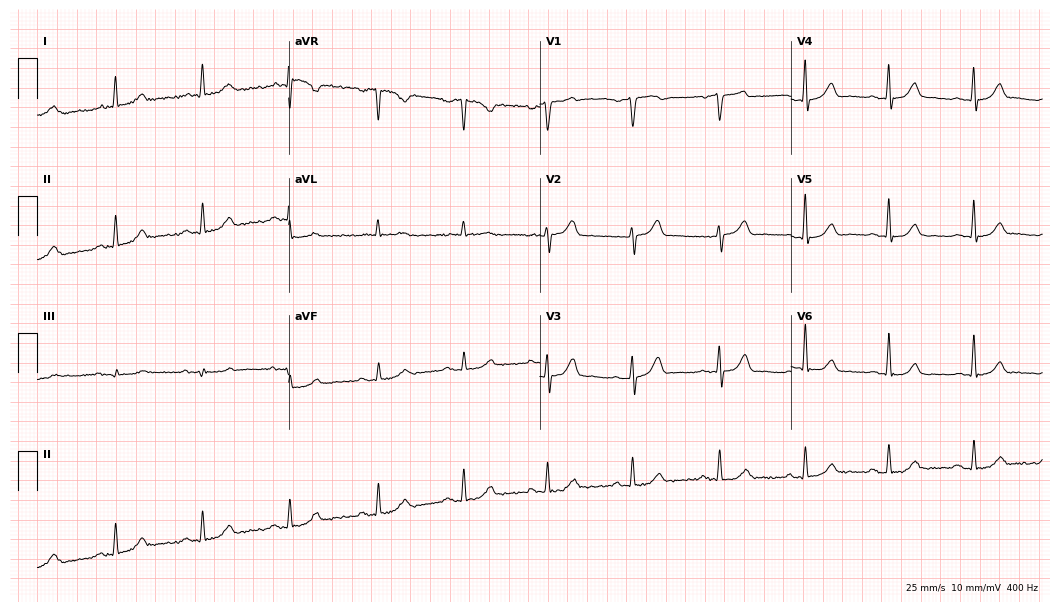
12-lead ECG from a man, 85 years old. No first-degree AV block, right bundle branch block (RBBB), left bundle branch block (LBBB), sinus bradycardia, atrial fibrillation (AF) or sinus tachycardia recorded for this tracing.